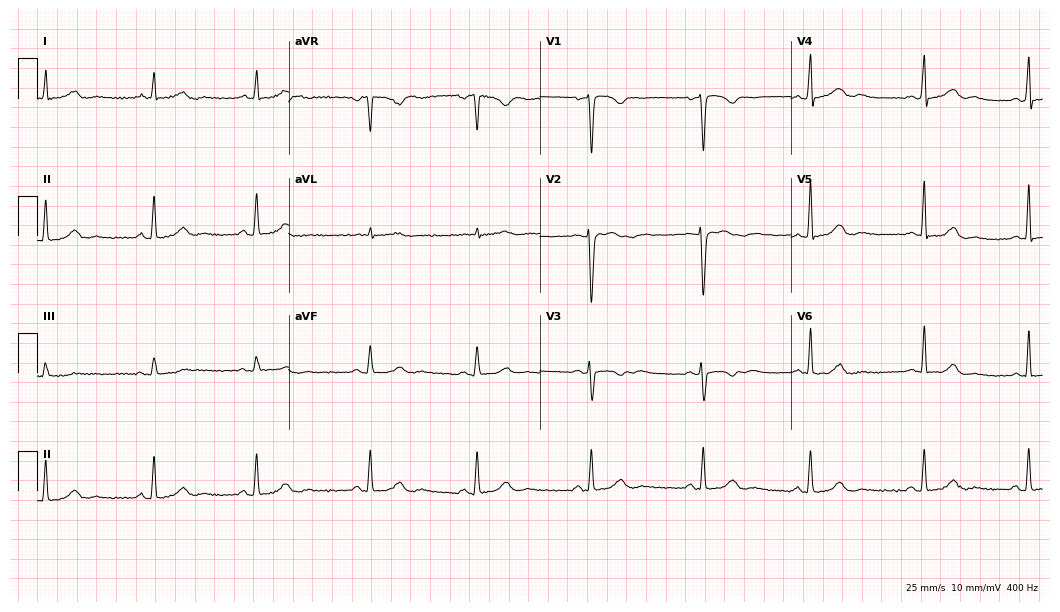
Electrocardiogram (10.2-second recording at 400 Hz), a woman, 50 years old. Of the six screened findings (first-degree AV block, right bundle branch block, left bundle branch block, sinus bradycardia, atrial fibrillation, sinus tachycardia), none is recorded.